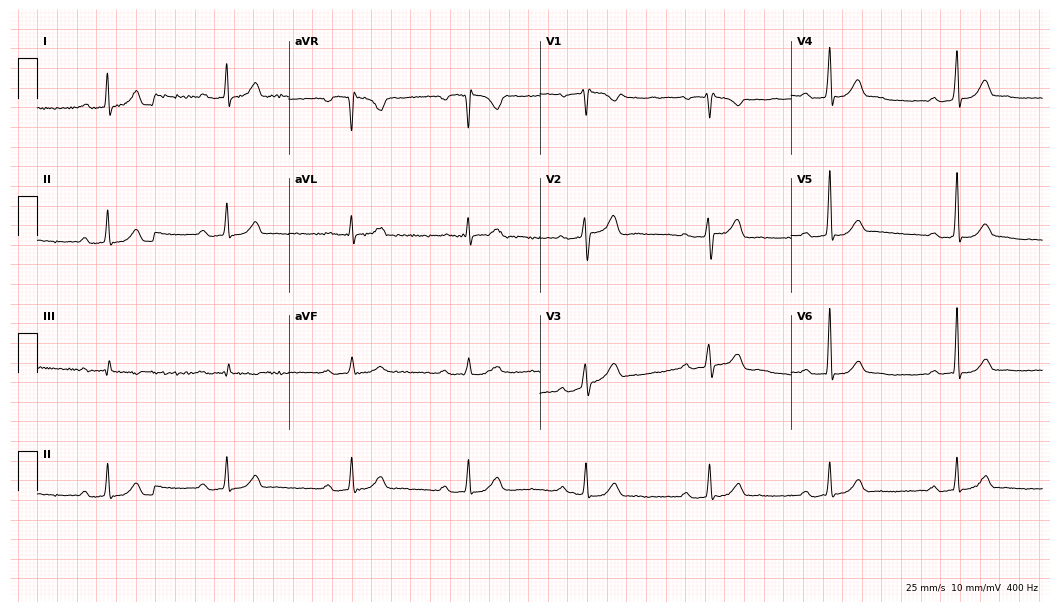
Electrocardiogram (10.2-second recording at 400 Hz), a 44-year-old male patient. Interpretation includes first-degree AV block, sinus bradycardia (a sinus rate of 50 beats per minute or less).